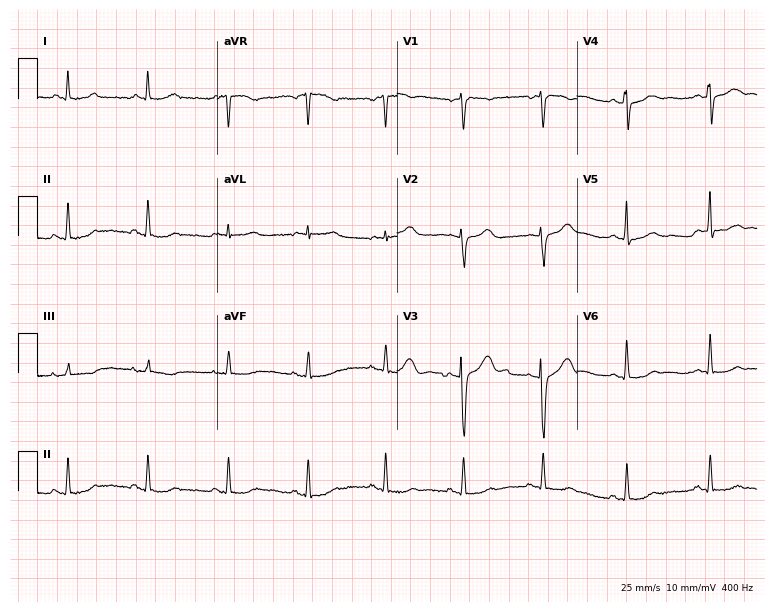
Electrocardiogram (7.3-second recording at 400 Hz), a female, 46 years old. Overall reading on record: normal ECG.